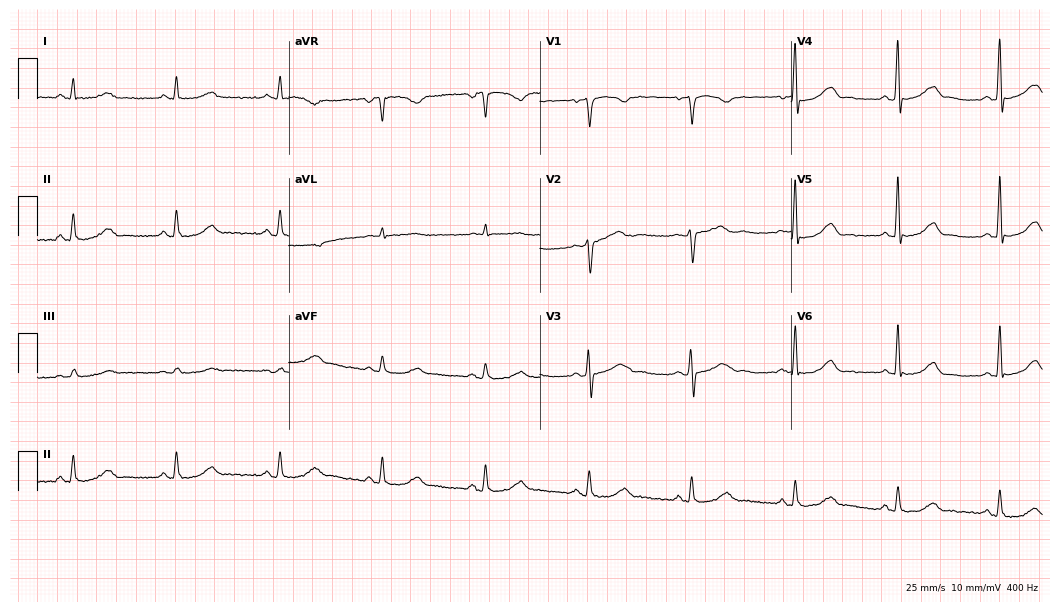
Resting 12-lead electrocardiogram. Patient: a 54-year-old female. None of these six findings is recorded: first-degree AV block, right bundle branch block (RBBB), left bundle branch block (LBBB), sinus bradycardia, atrial fibrillation (AF), sinus tachycardia.